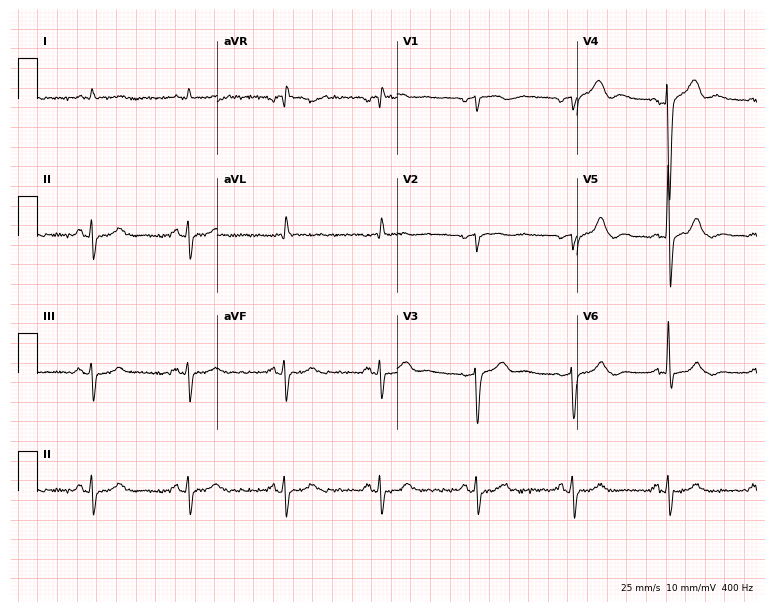
Electrocardiogram, a 71-year-old male patient. Of the six screened findings (first-degree AV block, right bundle branch block, left bundle branch block, sinus bradycardia, atrial fibrillation, sinus tachycardia), none is recorded. Findings outside these six are not listed.